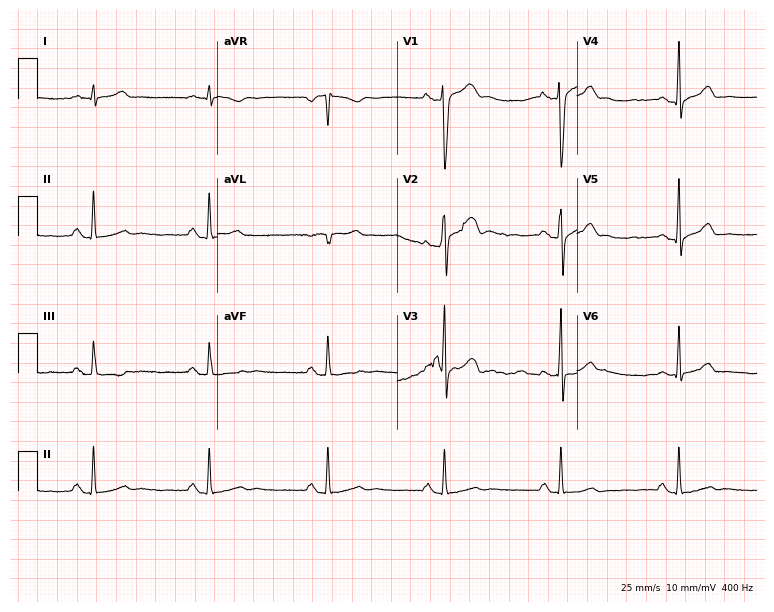
Resting 12-lead electrocardiogram (7.3-second recording at 400 Hz). Patient: a 39-year-old woman. The tracing shows sinus bradycardia (a sinus rate of 50 beats per minute or less).